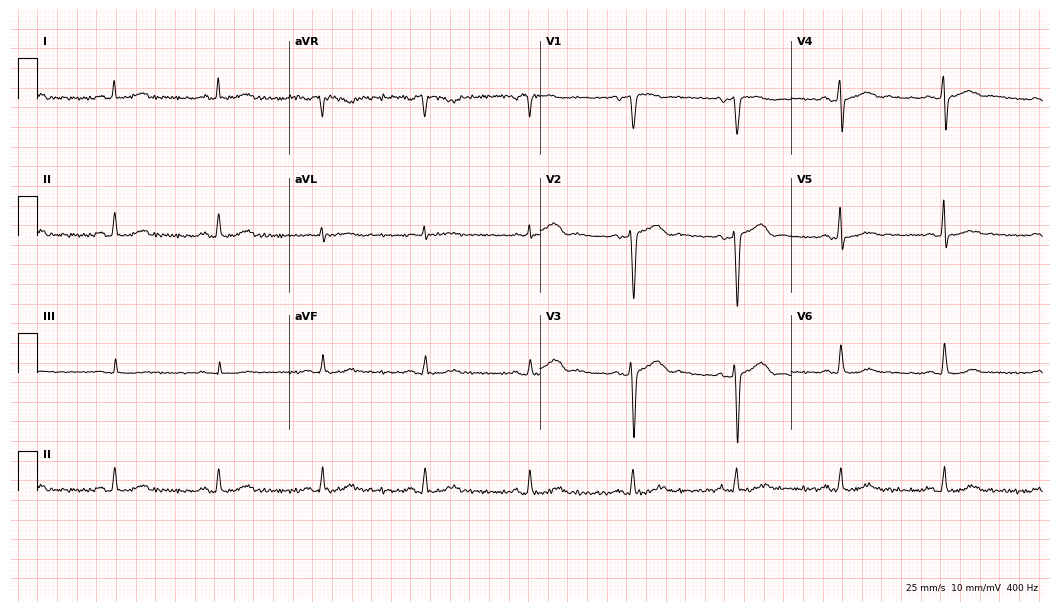
Resting 12-lead electrocardiogram. Patient: a 47-year-old male. None of these six findings is recorded: first-degree AV block, right bundle branch block, left bundle branch block, sinus bradycardia, atrial fibrillation, sinus tachycardia. Only these six findings were labelled.